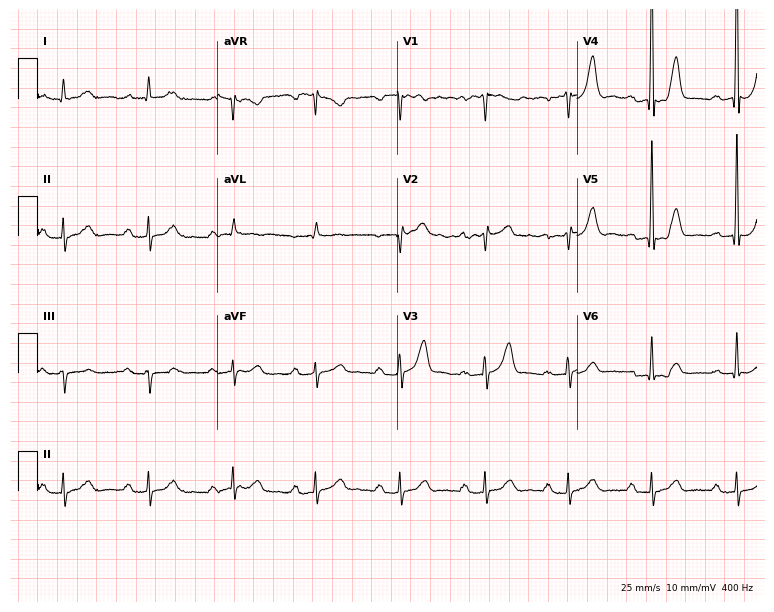
Resting 12-lead electrocardiogram (7.3-second recording at 400 Hz). Patient: a 36-year-old man. None of these six findings is recorded: first-degree AV block, right bundle branch block, left bundle branch block, sinus bradycardia, atrial fibrillation, sinus tachycardia. Only these six findings were labelled.